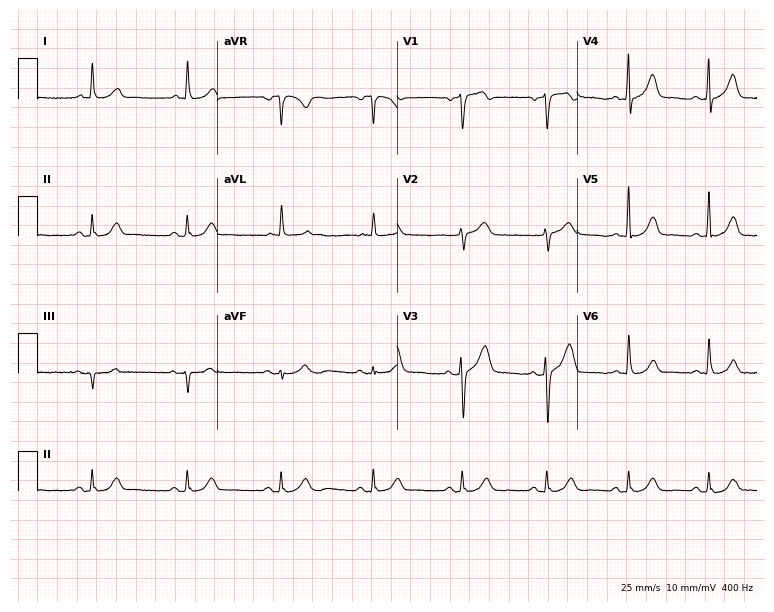
Standard 12-lead ECG recorded from a male patient, 83 years old. None of these six findings is recorded: first-degree AV block, right bundle branch block, left bundle branch block, sinus bradycardia, atrial fibrillation, sinus tachycardia. Only these six findings were labelled.